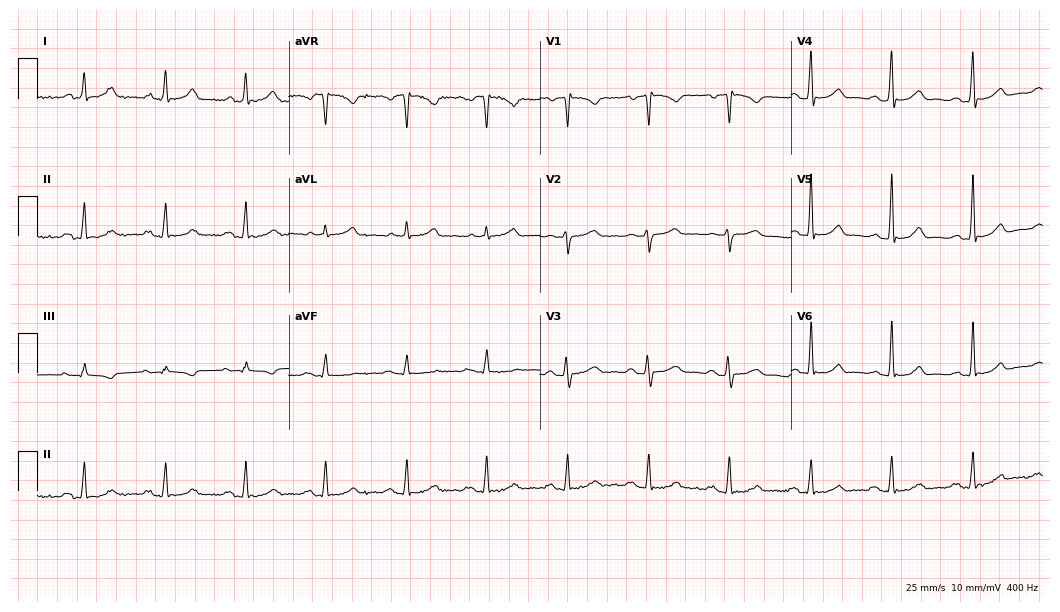
Electrocardiogram, a man, 74 years old. Overall reading on record: normal ECG.